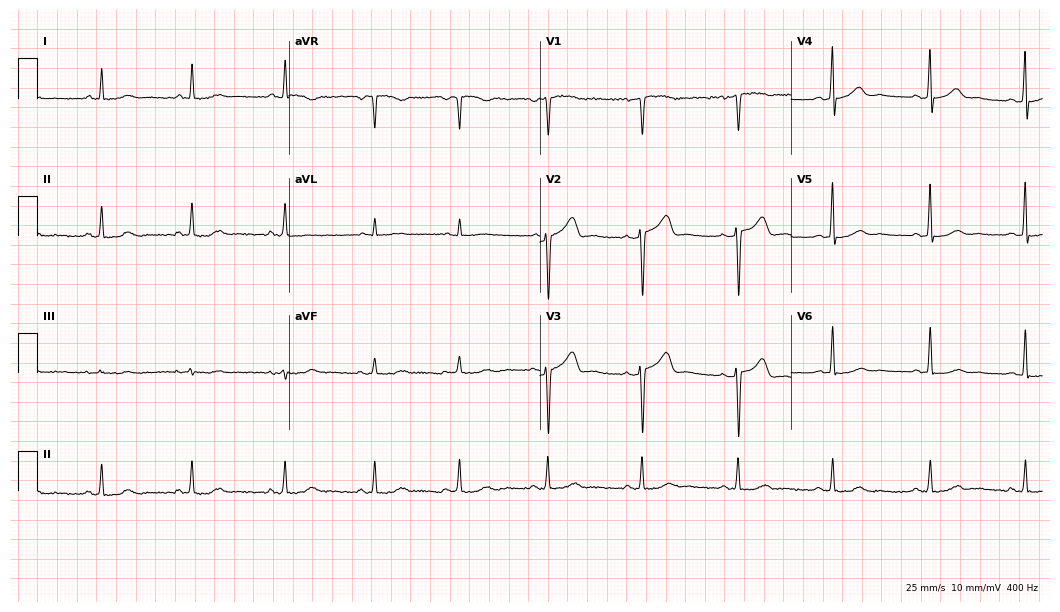
Resting 12-lead electrocardiogram (10.2-second recording at 400 Hz). Patient: a female, 50 years old. None of these six findings is recorded: first-degree AV block, right bundle branch block, left bundle branch block, sinus bradycardia, atrial fibrillation, sinus tachycardia. Other findings, if any, are not listed.